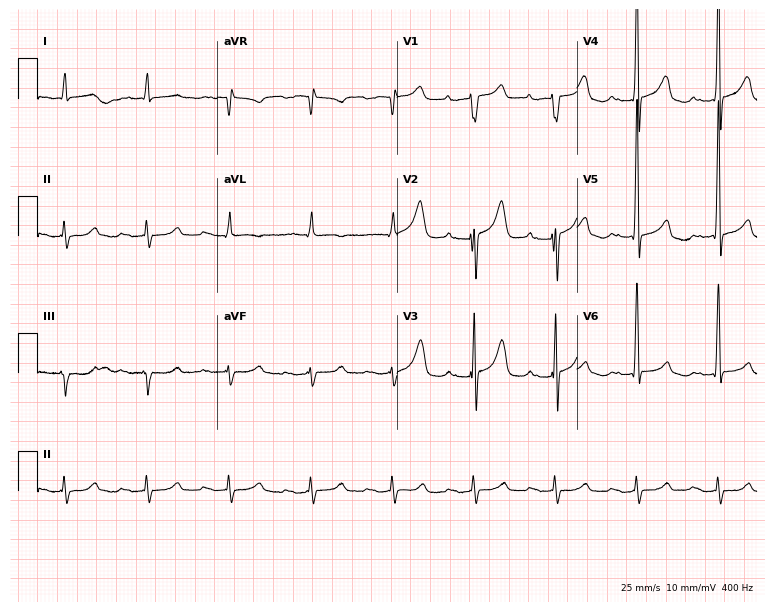
12-lead ECG from a 67-year-old man. Findings include first-degree AV block.